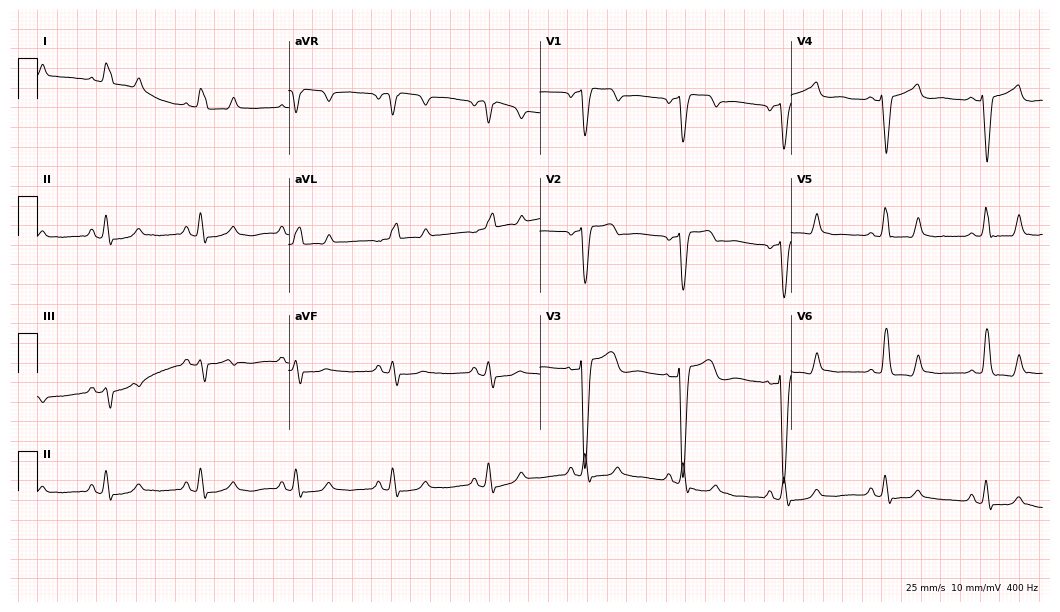
Standard 12-lead ECG recorded from an 83-year-old female. The tracing shows left bundle branch block.